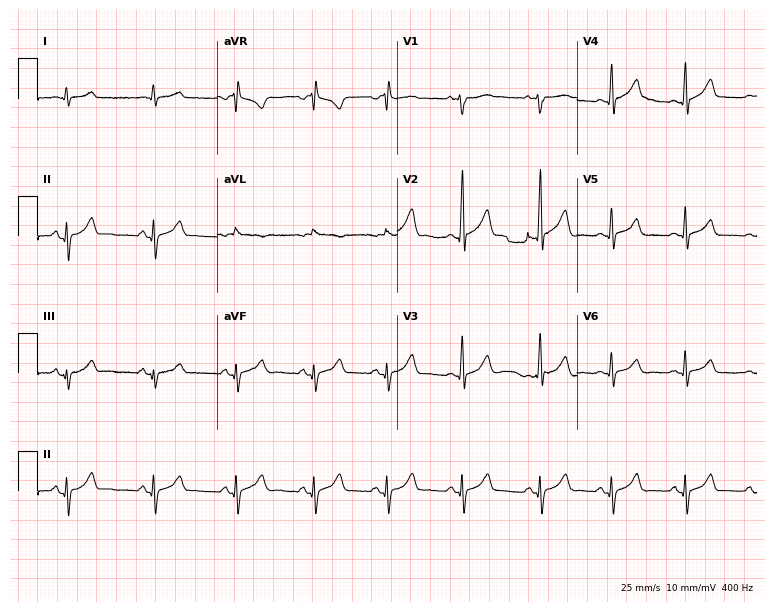
Standard 12-lead ECG recorded from a 19-year-old male patient (7.3-second recording at 400 Hz). Read as a normal ECG.